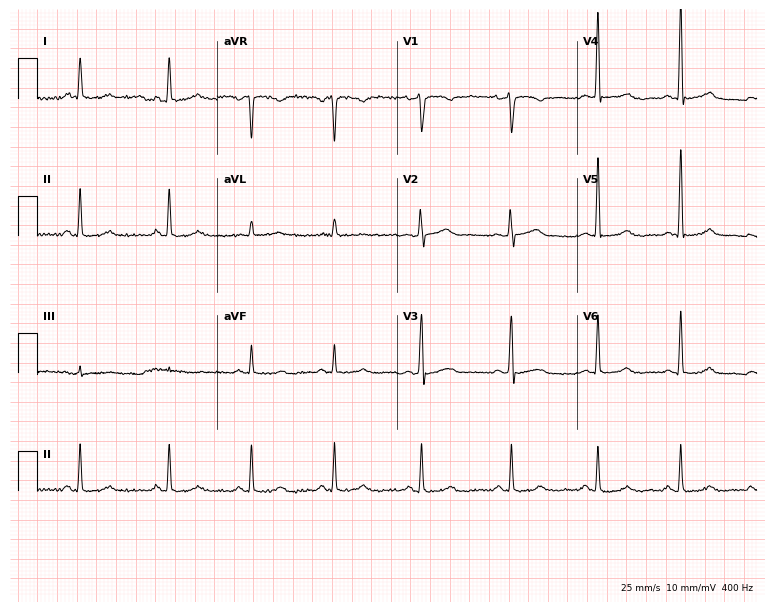
12-lead ECG (7.3-second recording at 400 Hz) from a 43-year-old woman. Screened for six findings — first-degree AV block, right bundle branch block (RBBB), left bundle branch block (LBBB), sinus bradycardia, atrial fibrillation (AF), sinus tachycardia — none is recorded.